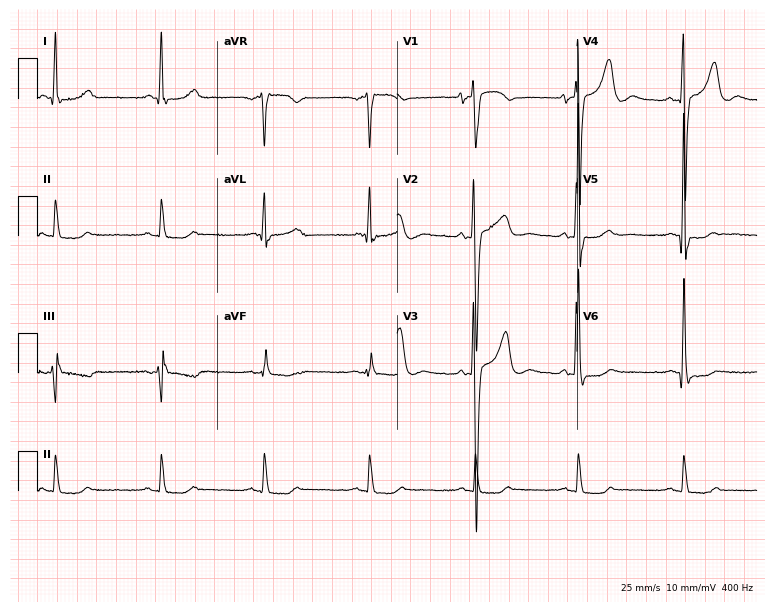
12-lead ECG (7.3-second recording at 400 Hz) from a male, 63 years old. Labelled as a normal ECG.